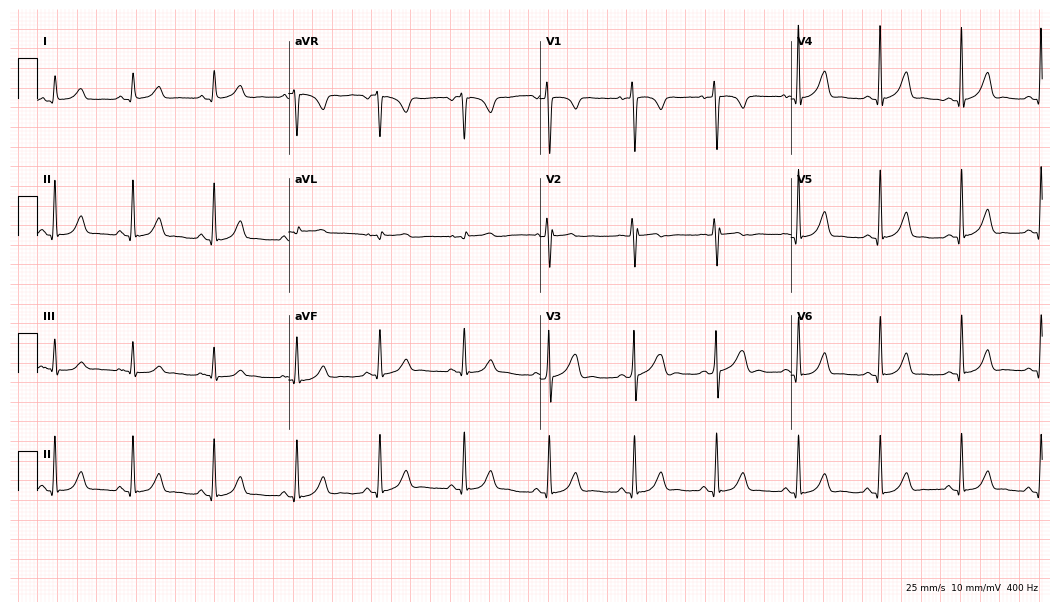
Standard 12-lead ECG recorded from a female patient, 65 years old (10.2-second recording at 400 Hz). Read as a normal ECG.